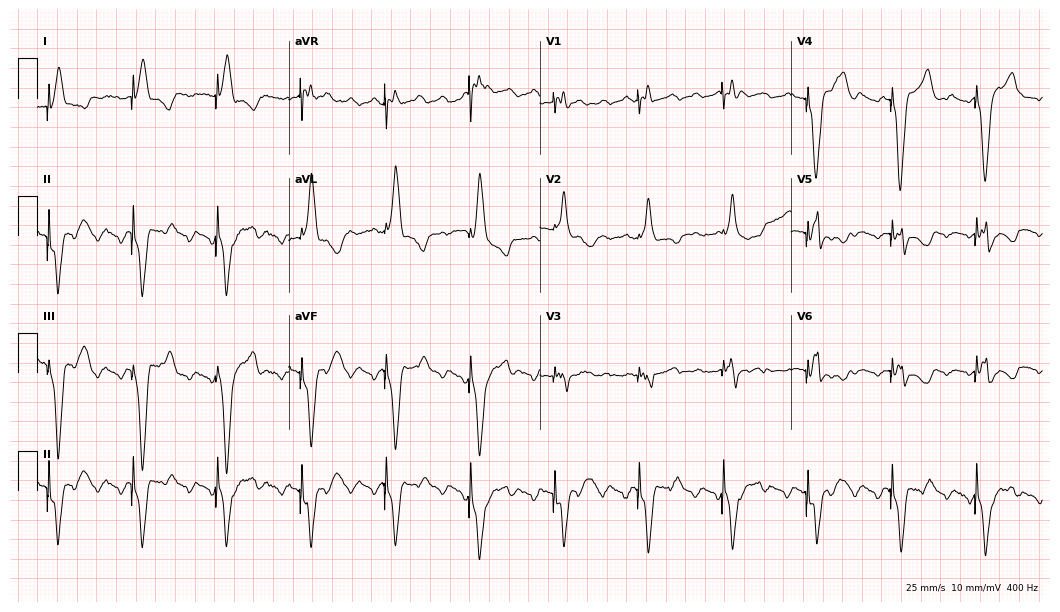
Resting 12-lead electrocardiogram (10.2-second recording at 400 Hz). Patient: an 82-year-old female. None of these six findings is recorded: first-degree AV block, right bundle branch block, left bundle branch block, sinus bradycardia, atrial fibrillation, sinus tachycardia. Other findings, if any, are not listed.